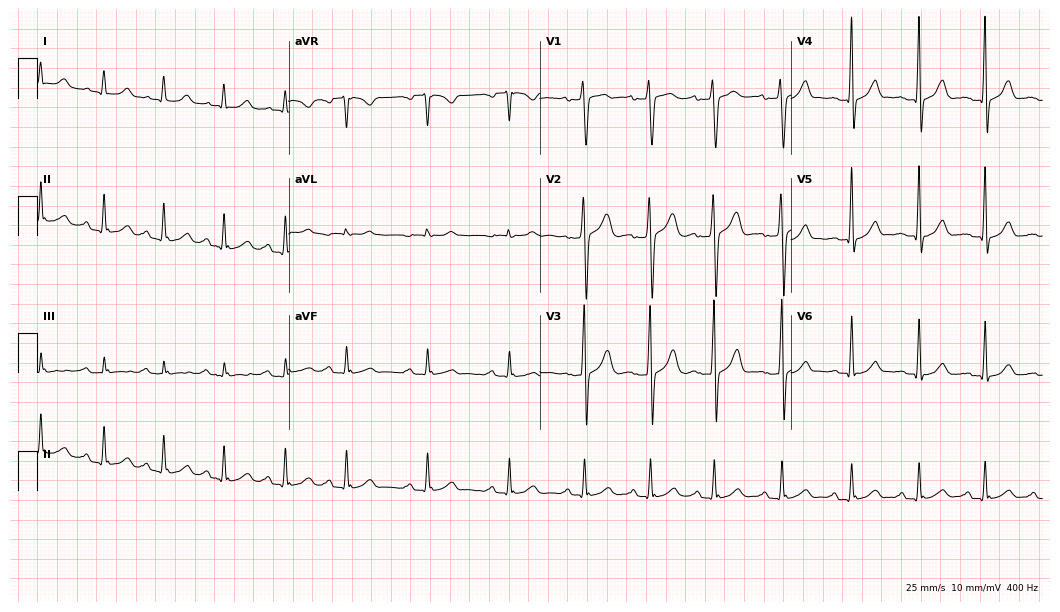
12-lead ECG from a male patient, 22 years old (10.2-second recording at 400 Hz). Recorded interpretation: within normal limits.